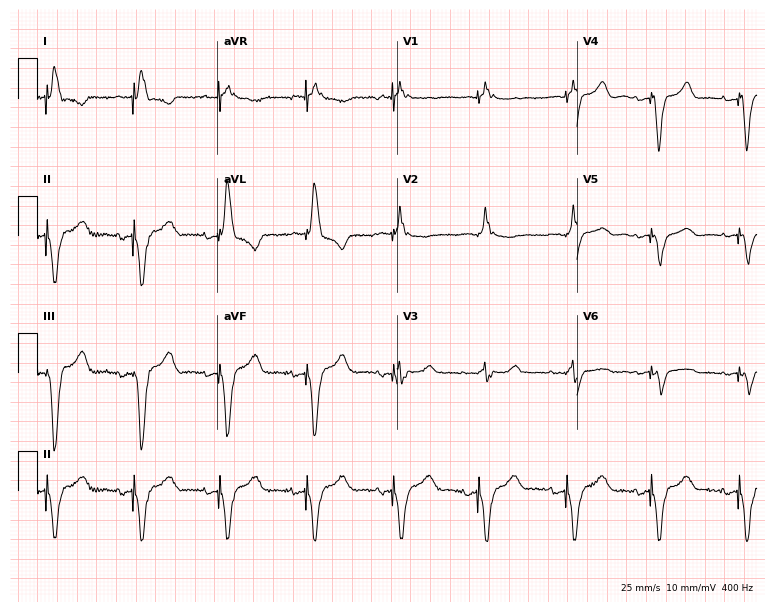
Resting 12-lead electrocardiogram (7.3-second recording at 400 Hz). Patient: an 82-year-old female. None of these six findings is recorded: first-degree AV block, right bundle branch block (RBBB), left bundle branch block (LBBB), sinus bradycardia, atrial fibrillation (AF), sinus tachycardia.